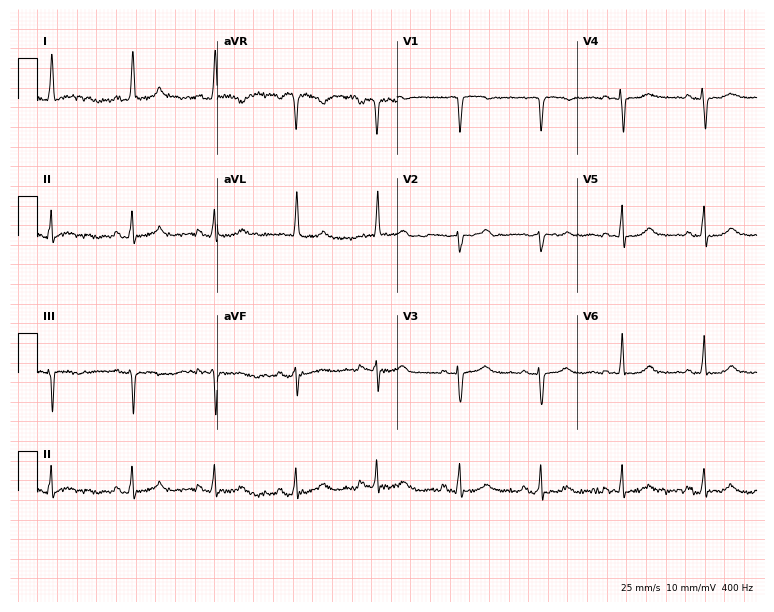
ECG (7.3-second recording at 400 Hz) — an 83-year-old female. Labelled as a normal ECG.